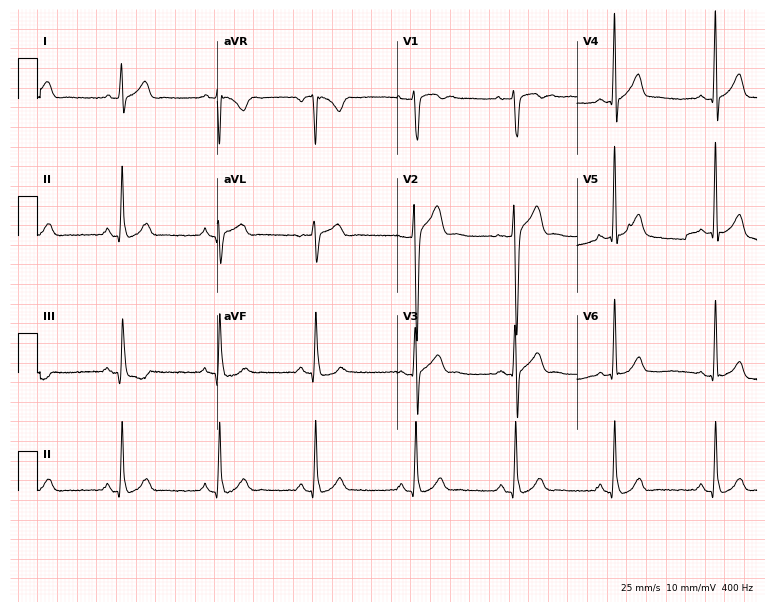
ECG — a male, 22 years old. Labelled as a normal ECG.